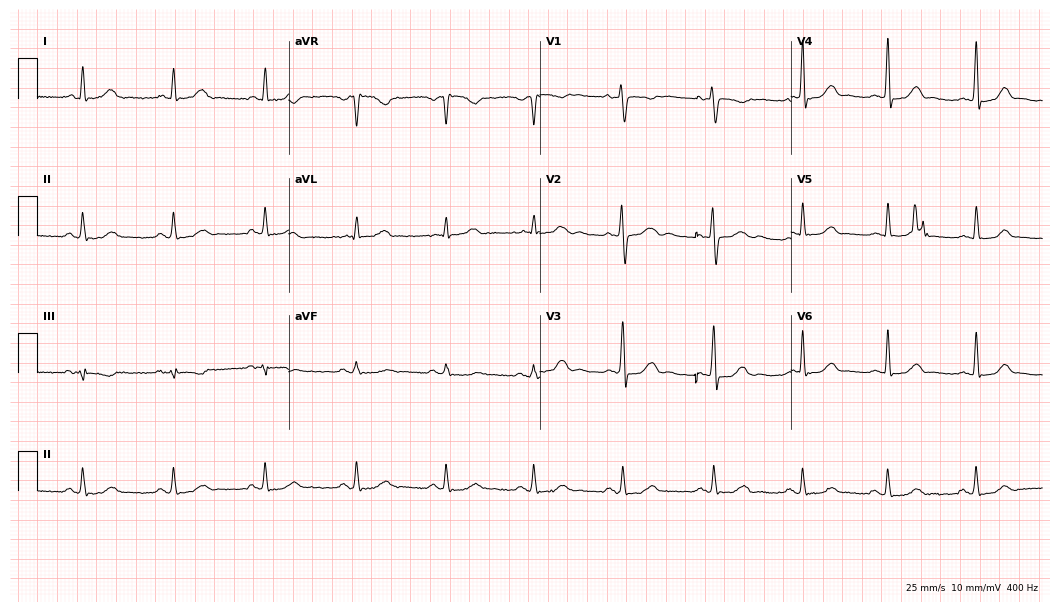
12-lead ECG (10.2-second recording at 400 Hz) from a 40-year-old female. Screened for six findings — first-degree AV block, right bundle branch block, left bundle branch block, sinus bradycardia, atrial fibrillation, sinus tachycardia — none is recorded.